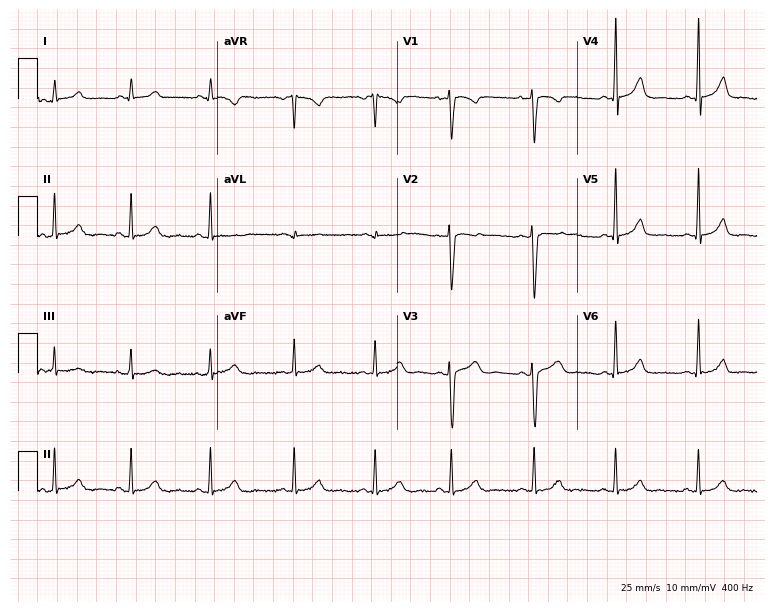
Electrocardiogram (7.3-second recording at 400 Hz), a female, 26 years old. Of the six screened findings (first-degree AV block, right bundle branch block, left bundle branch block, sinus bradycardia, atrial fibrillation, sinus tachycardia), none is recorded.